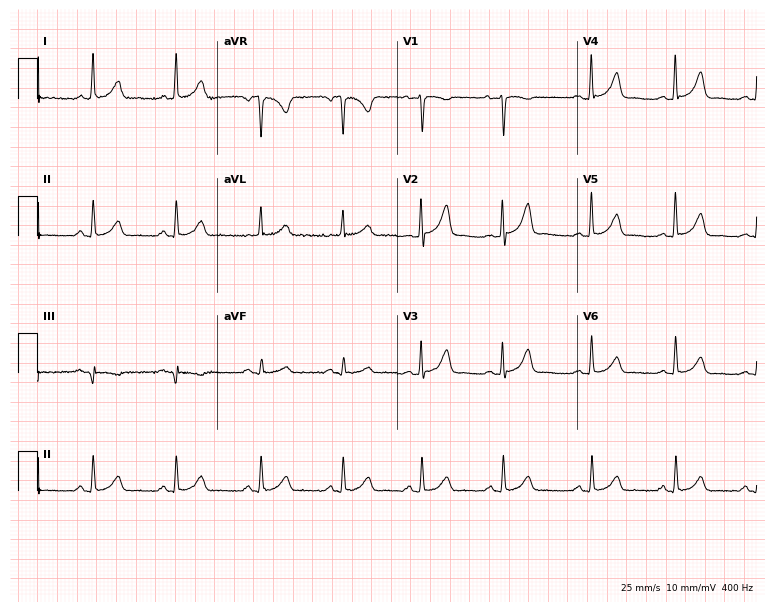
ECG — a 40-year-old woman. Labelled as a normal ECG.